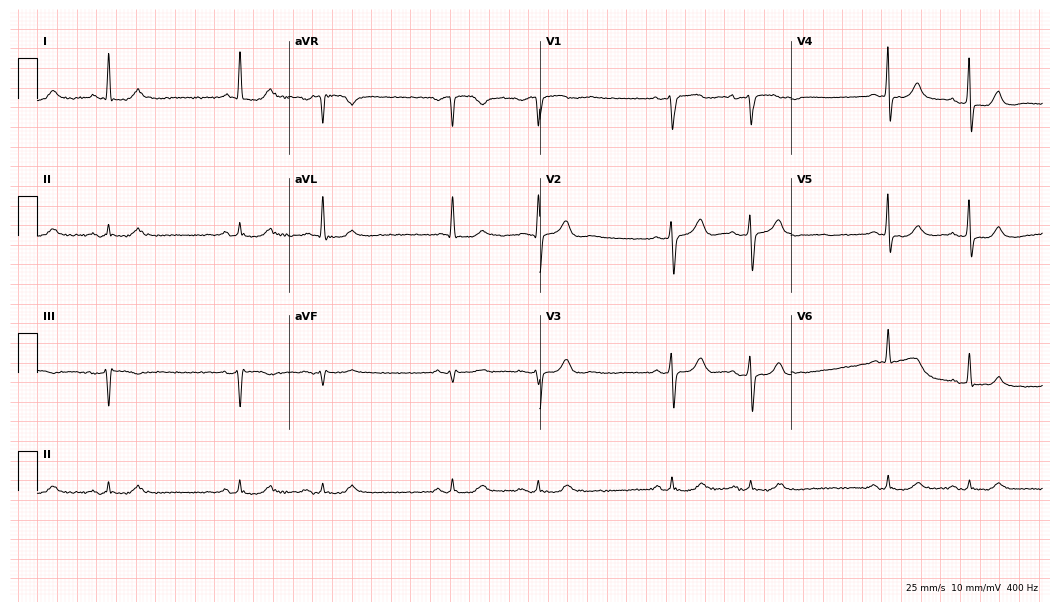
ECG — a man, 81 years old. Screened for six findings — first-degree AV block, right bundle branch block (RBBB), left bundle branch block (LBBB), sinus bradycardia, atrial fibrillation (AF), sinus tachycardia — none is recorded. Other findings, if any, are not listed.